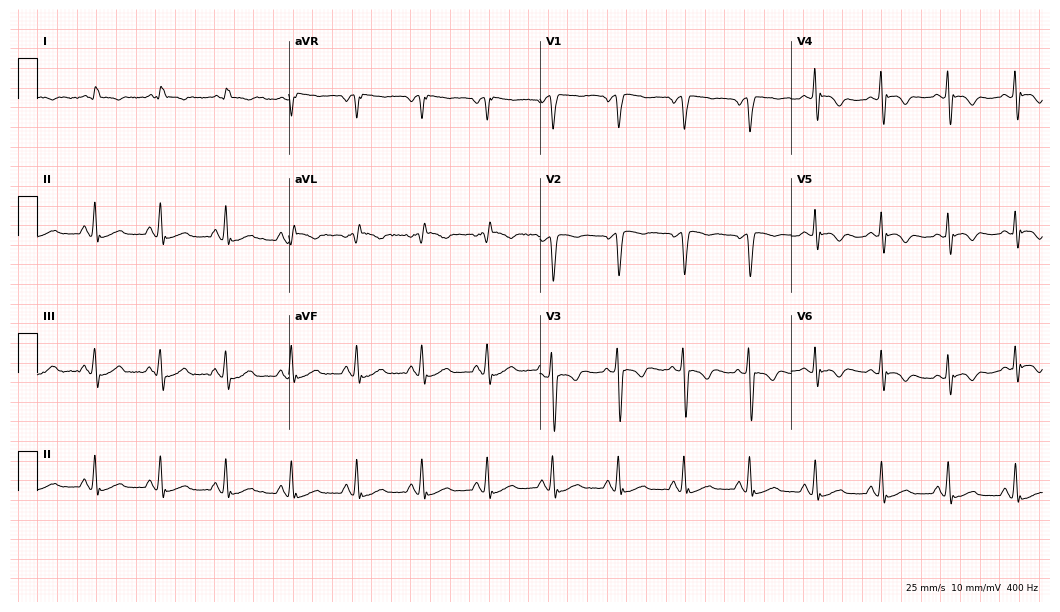
Standard 12-lead ECG recorded from a 77-year-old man (10.2-second recording at 400 Hz). None of these six findings is recorded: first-degree AV block, right bundle branch block (RBBB), left bundle branch block (LBBB), sinus bradycardia, atrial fibrillation (AF), sinus tachycardia.